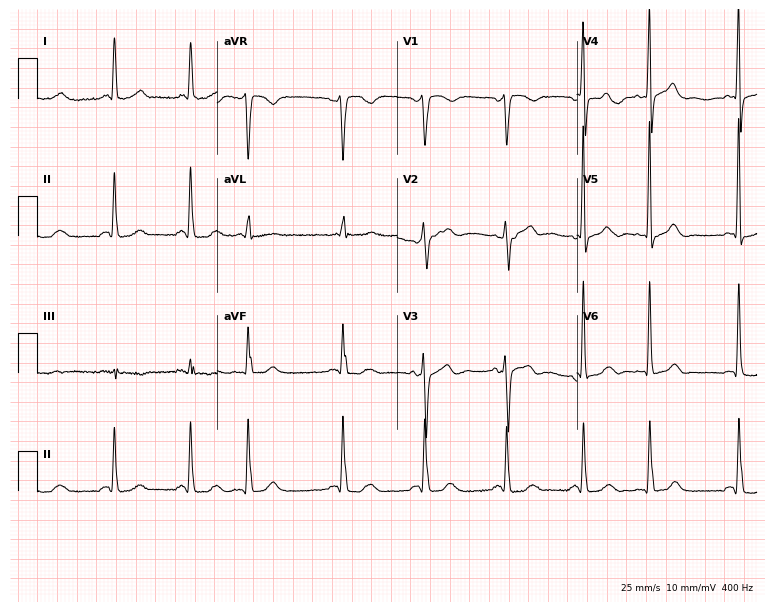
12-lead ECG from a woman, 71 years old. Screened for six findings — first-degree AV block, right bundle branch block (RBBB), left bundle branch block (LBBB), sinus bradycardia, atrial fibrillation (AF), sinus tachycardia — none is recorded. Other findings, if any, are not listed.